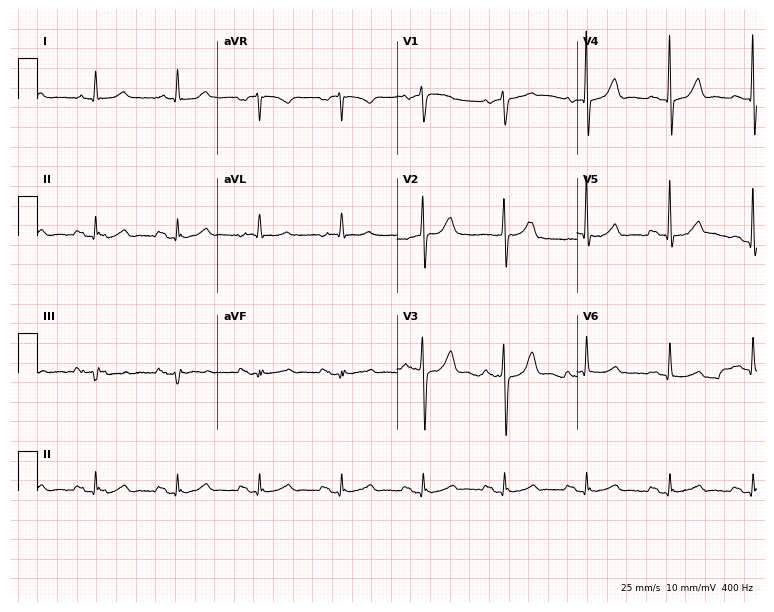
Electrocardiogram (7.3-second recording at 400 Hz), a 64-year-old male patient. Overall reading on record: normal ECG.